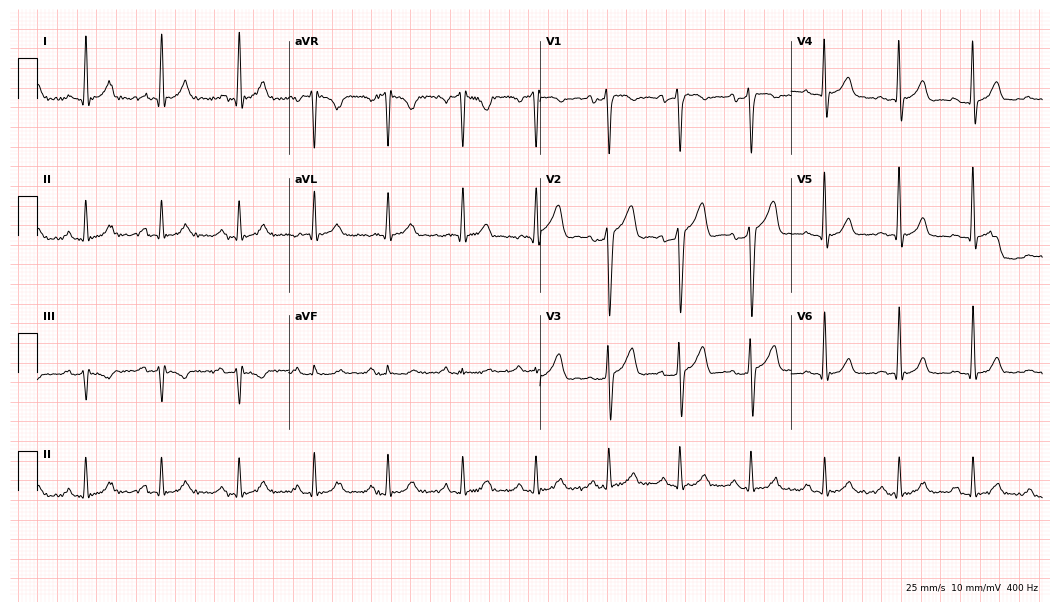
12-lead ECG from a man, 45 years old (10.2-second recording at 400 Hz). No first-degree AV block, right bundle branch block, left bundle branch block, sinus bradycardia, atrial fibrillation or sinus tachycardia recorded for this tracing. Only these six findings were labelled.